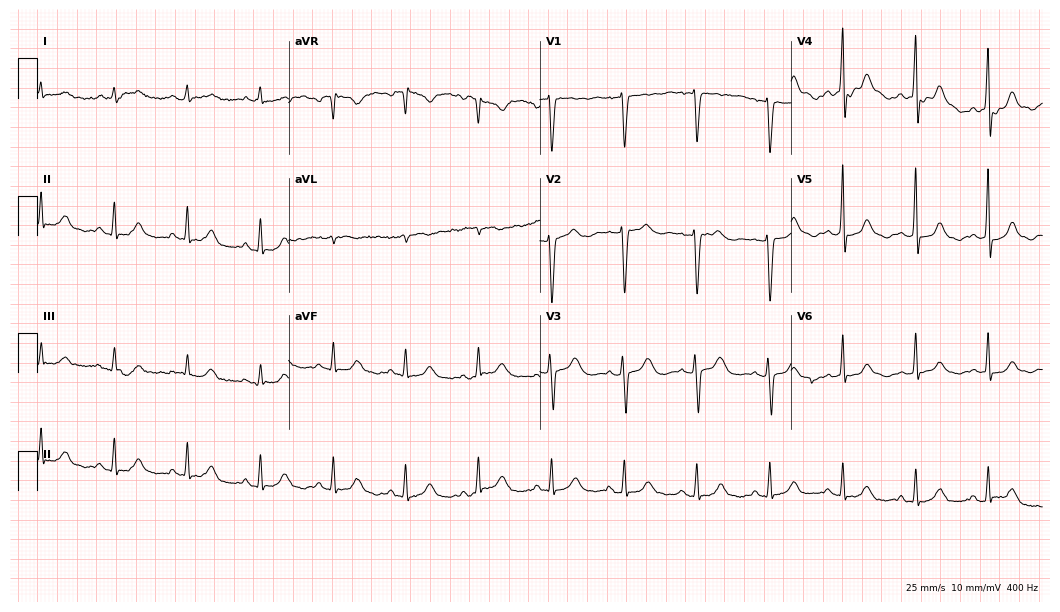
12-lead ECG from a female patient, 68 years old (10.2-second recording at 400 Hz). No first-degree AV block, right bundle branch block, left bundle branch block, sinus bradycardia, atrial fibrillation or sinus tachycardia recorded for this tracing. Other findings, if any, are not listed.